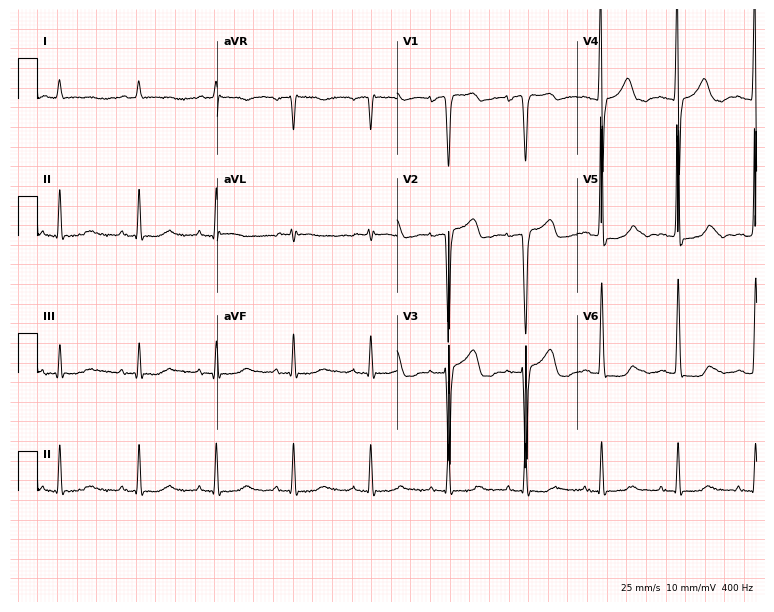
Resting 12-lead electrocardiogram (7.3-second recording at 400 Hz). Patient: an 83-year-old woman. None of these six findings is recorded: first-degree AV block, right bundle branch block, left bundle branch block, sinus bradycardia, atrial fibrillation, sinus tachycardia.